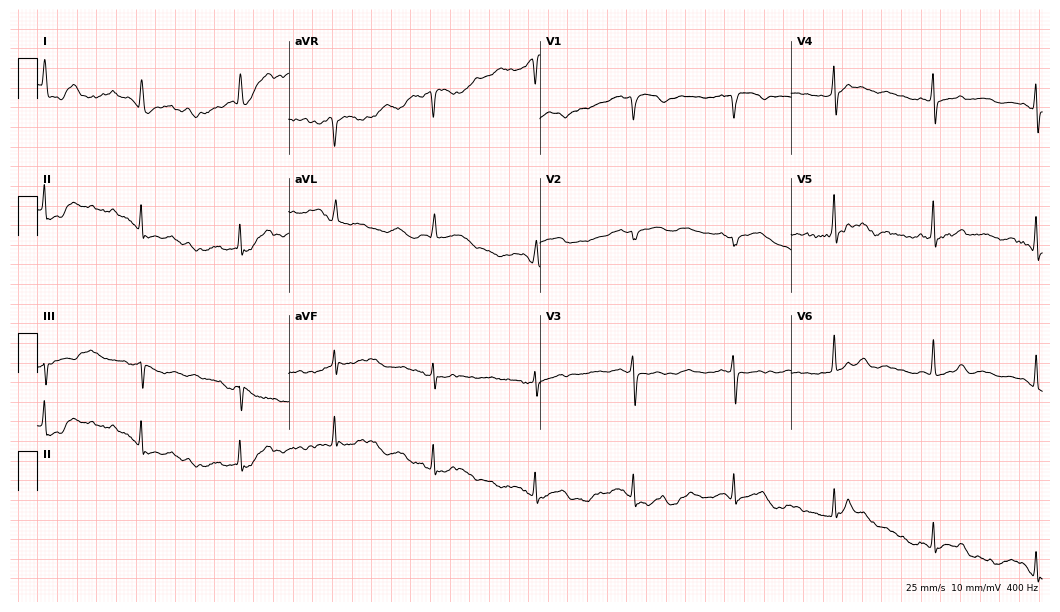
Electrocardiogram, a 68-year-old female. Overall reading on record: normal ECG.